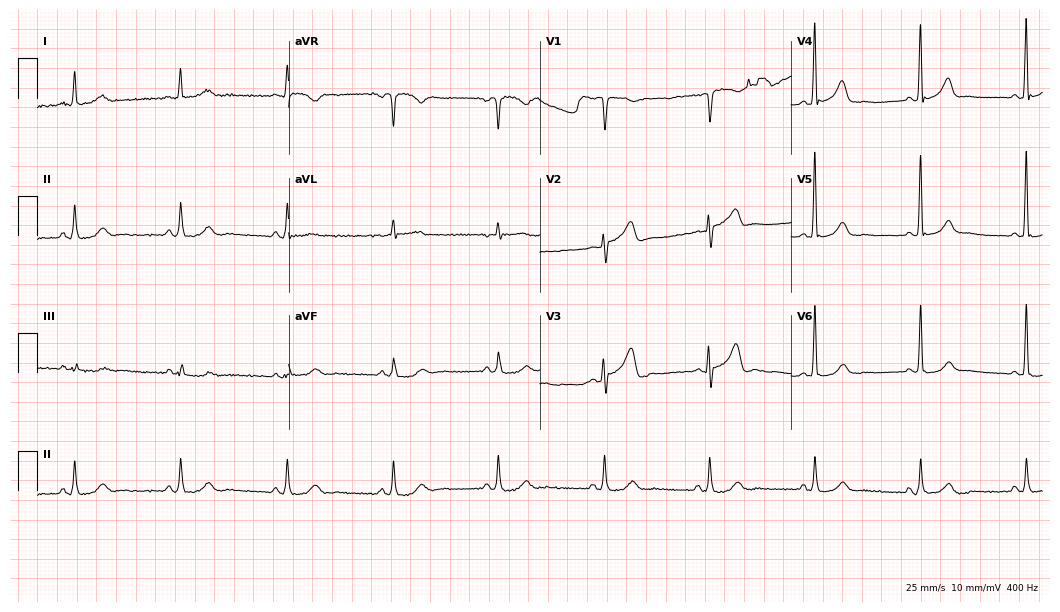
Standard 12-lead ECG recorded from an 83-year-old woman (10.2-second recording at 400 Hz). None of these six findings is recorded: first-degree AV block, right bundle branch block, left bundle branch block, sinus bradycardia, atrial fibrillation, sinus tachycardia. Findings outside these six are not listed.